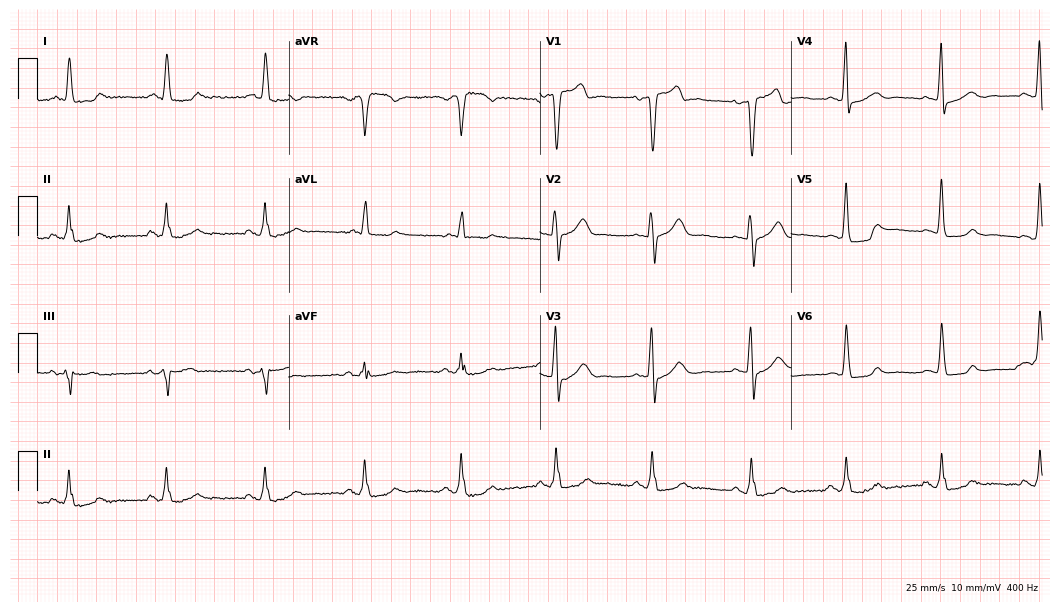
12-lead ECG from a 77-year-old male. No first-degree AV block, right bundle branch block (RBBB), left bundle branch block (LBBB), sinus bradycardia, atrial fibrillation (AF) or sinus tachycardia recorded for this tracing.